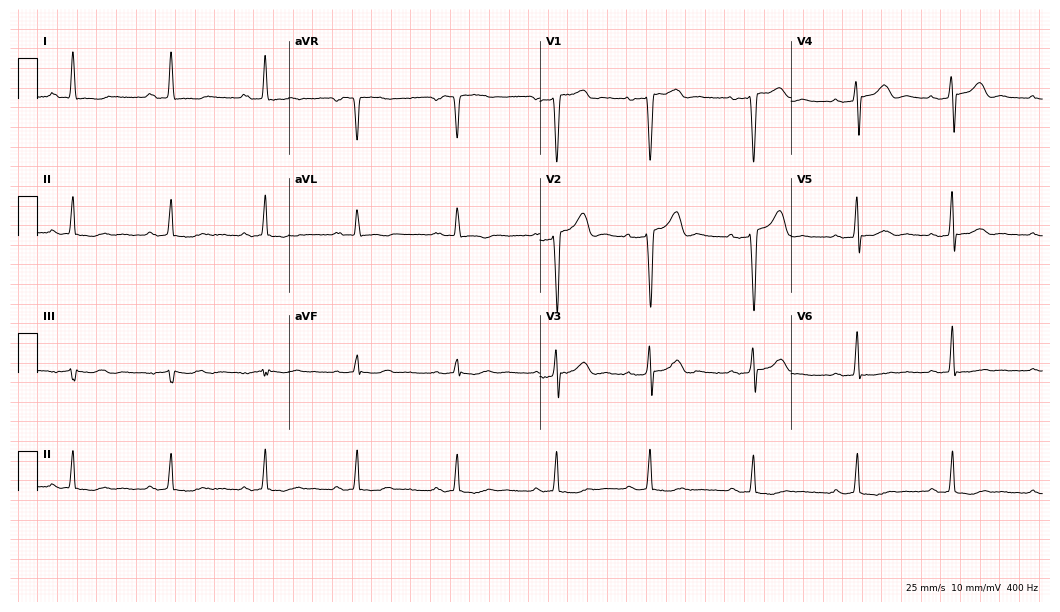
Standard 12-lead ECG recorded from a female patient, 36 years old. The tracing shows first-degree AV block.